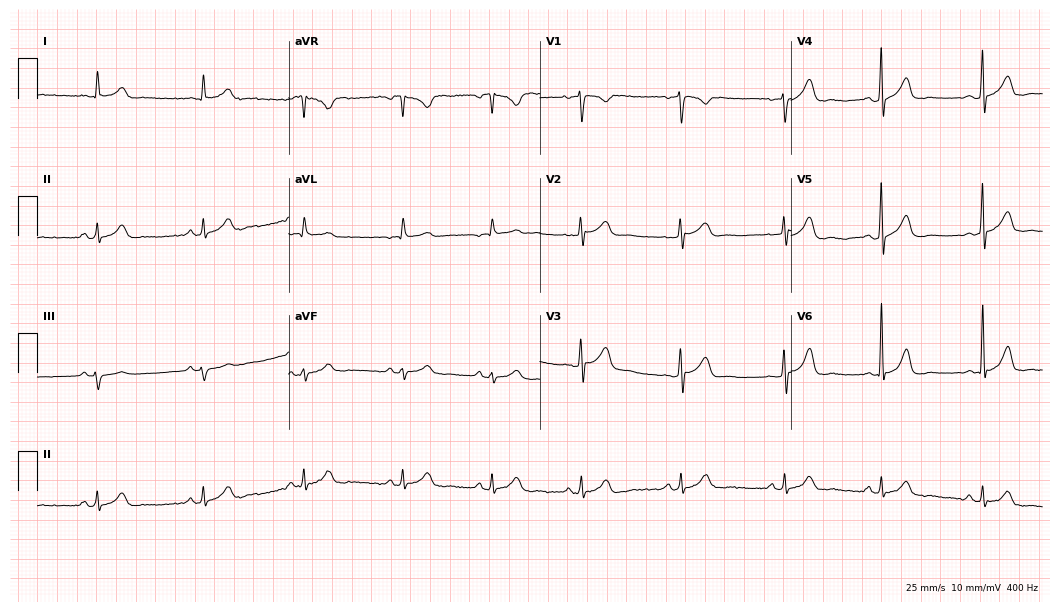
ECG — a 46-year-old female patient. Screened for six findings — first-degree AV block, right bundle branch block, left bundle branch block, sinus bradycardia, atrial fibrillation, sinus tachycardia — none is recorded.